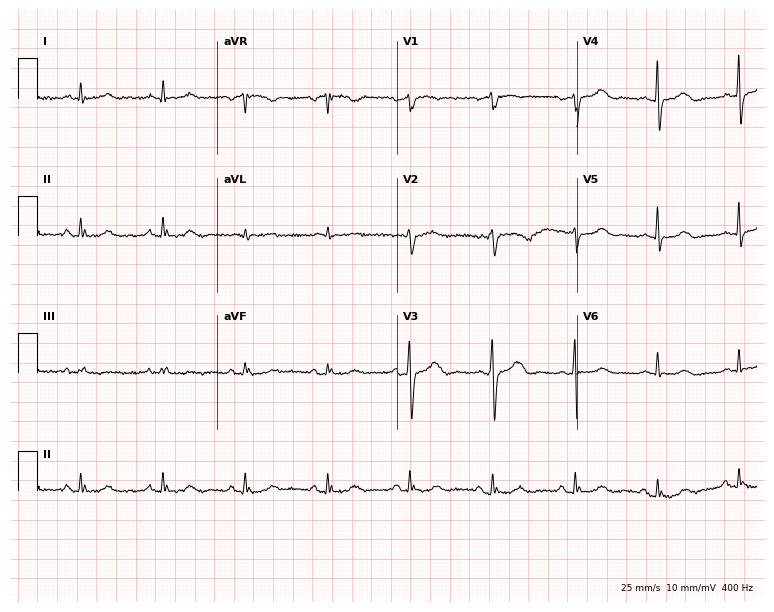
Standard 12-lead ECG recorded from a woman, 76 years old (7.3-second recording at 400 Hz). None of these six findings is recorded: first-degree AV block, right bundle branch block, left bundle branch block, sinus bradycardia, atrial fibrillation, sinus tachycardia.